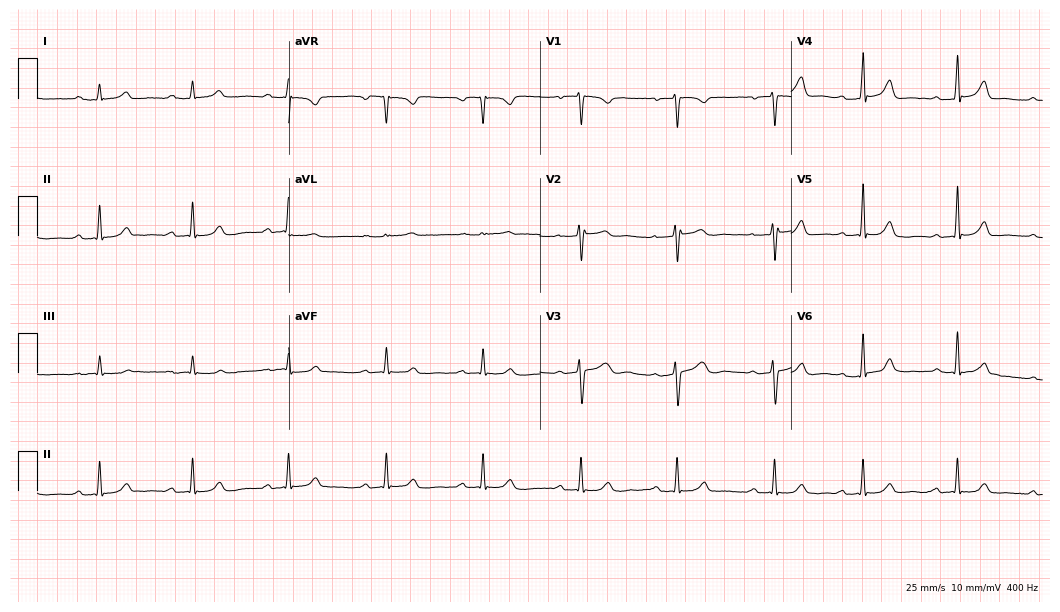
Electrocardiogram, a female, 34 years old. Overall reading on record: normal ECG.